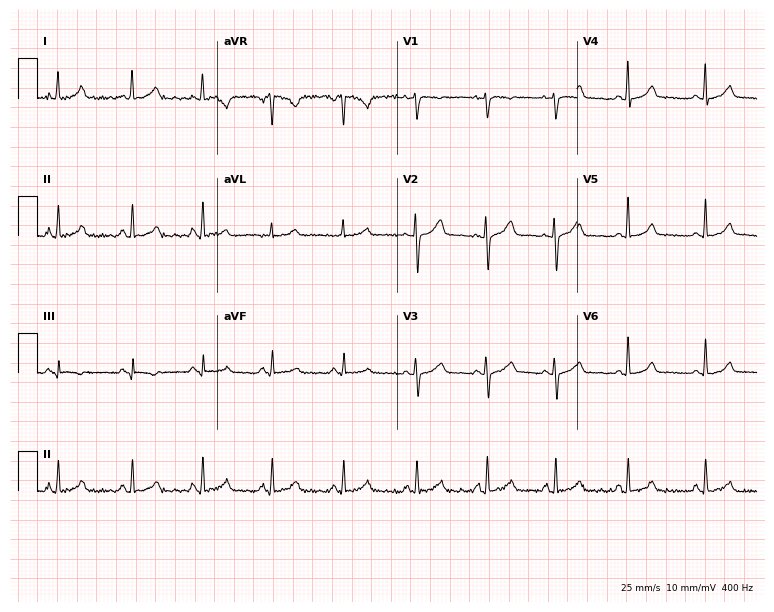
12-lead ECG from a 33-year-old female. Labelled as a normal ECG.